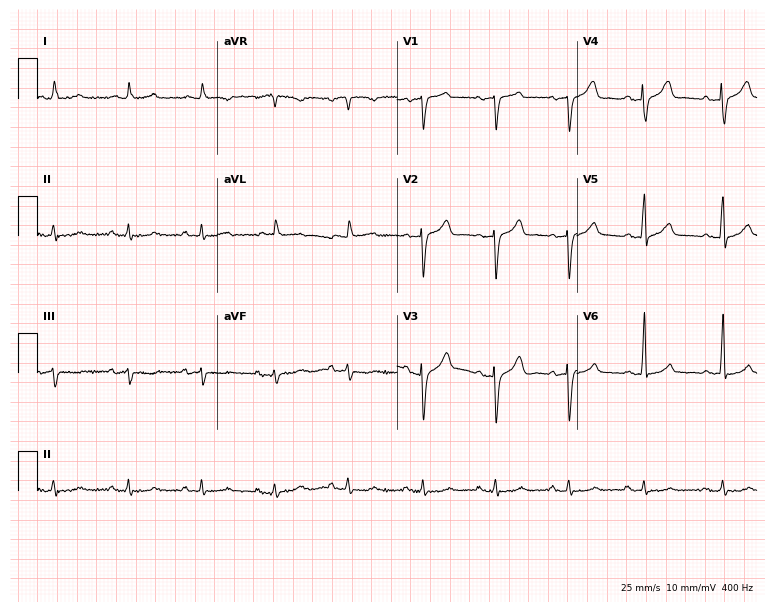
Resting 12-lead electrocardiogram (7.3-second recording at 400 Hz). Patient: a 75-year-old male. None of these six findings is recorded: first-degree AV block, right bundle branch block, left bundle branch block, sinus bradycardia, atrial fibrillation, sinus tachycardia.